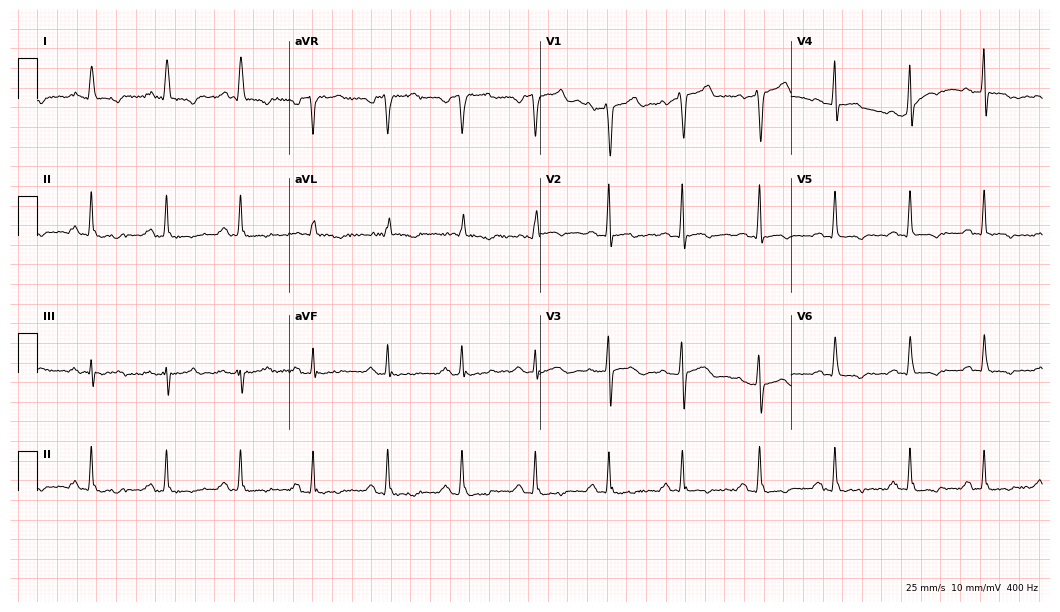
ECG (10.2-second recording at 400 Hz) — a 58-year-old male. Screened for six findings — first-degree AV block, right bundle branch block, left bundle branch block, sinus bradycardia, atrial fibrillation, sinus tachycardia — none is recorded.